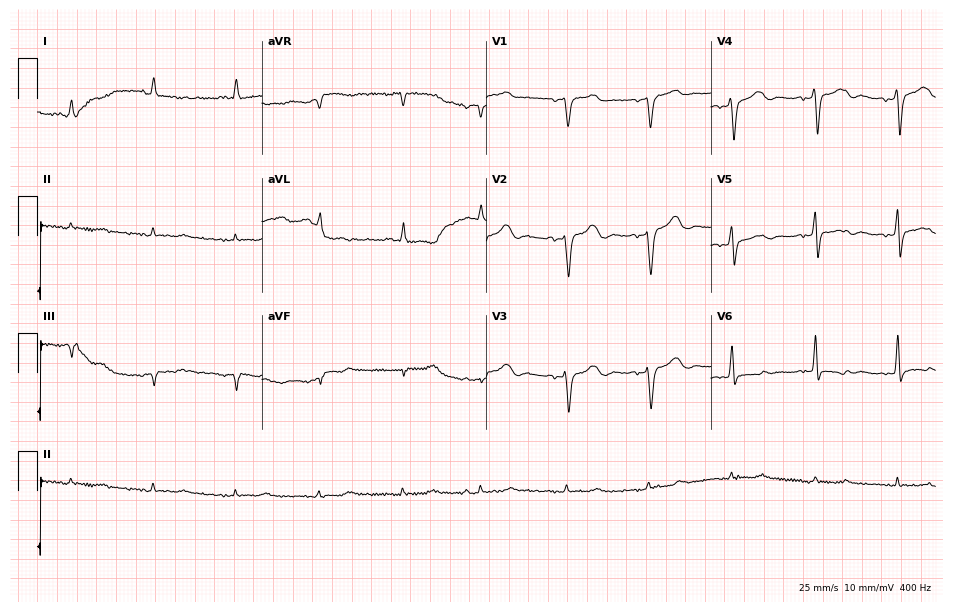
ECG (9.2-second recording at 400 Hz) — a female, 78 years old. Screened for six findings — first-degree AV block, right bundle branch block, left bundle branch block, sinus bradycardia, atrial fibrillation, sinus tachycardia — none is recorded. Findings outside these six are not listed.